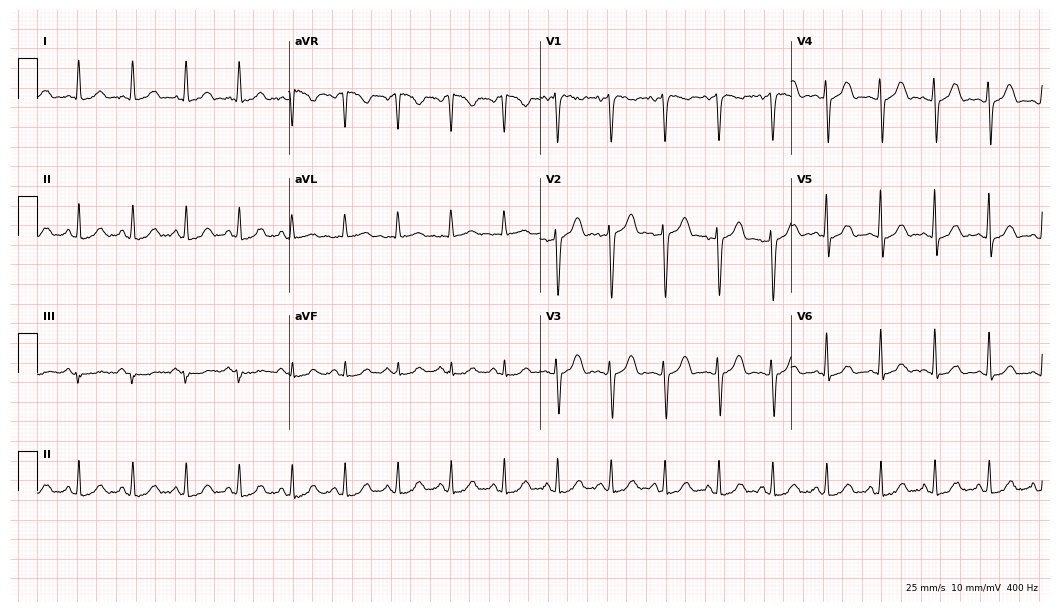
12-lead ECG from a female patient, 52 years old. Findings include sinus tachycardia (a sinus rate of 100 beats per minute or more).